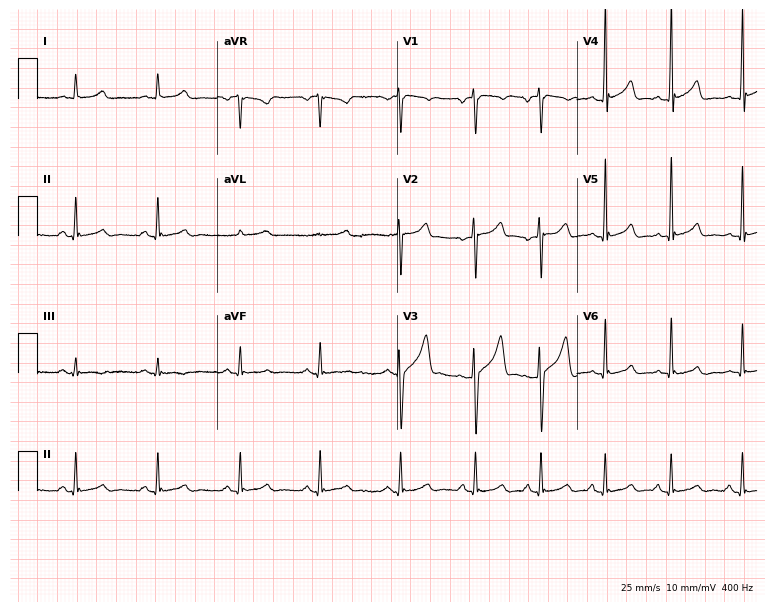
ECG — a male, 21 years old. Screened for six findings — first-degree AV block, right bundle branch block (RBBB), left bundle branch block (LBBB), sinus bradycardia, atrial fibrillation (AF), sinus tachycardia — none is recorded. Other findings, if any, are not listed.